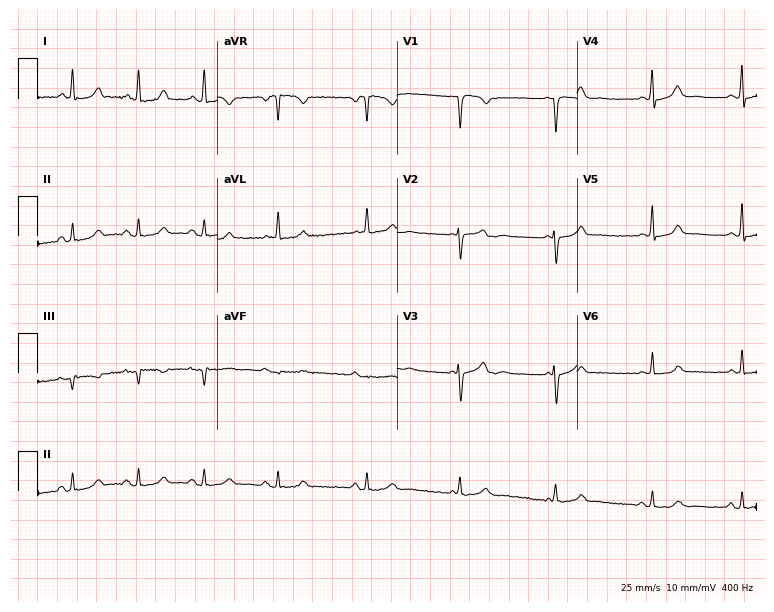
ECG — a female patient, 58 years old. Screened for six findings — first-degree AV block, right bundle branch block, left bundle branch block, sinus bradycardia, atrial fibrillation, sinus tachycardia — none is recorded. Findings outside these six are not listed.